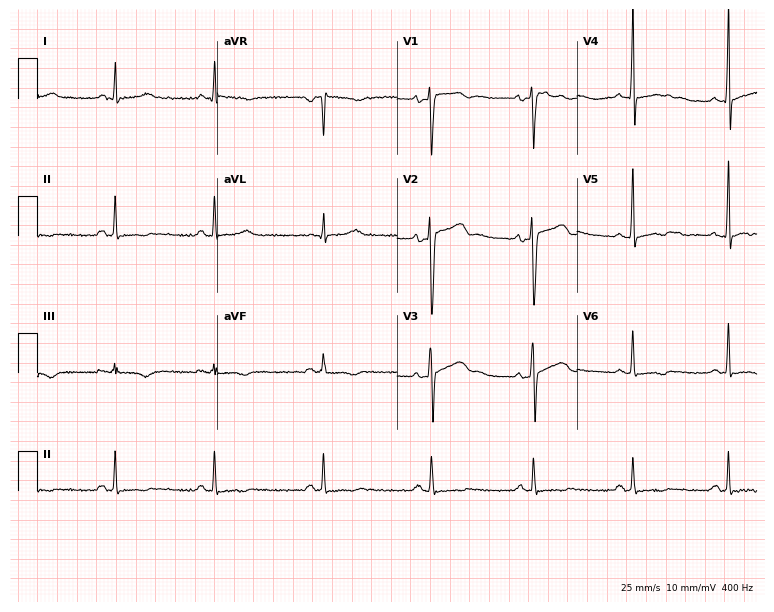
ECG — a male patient, 33 years old. Labelled as a normal ECG.